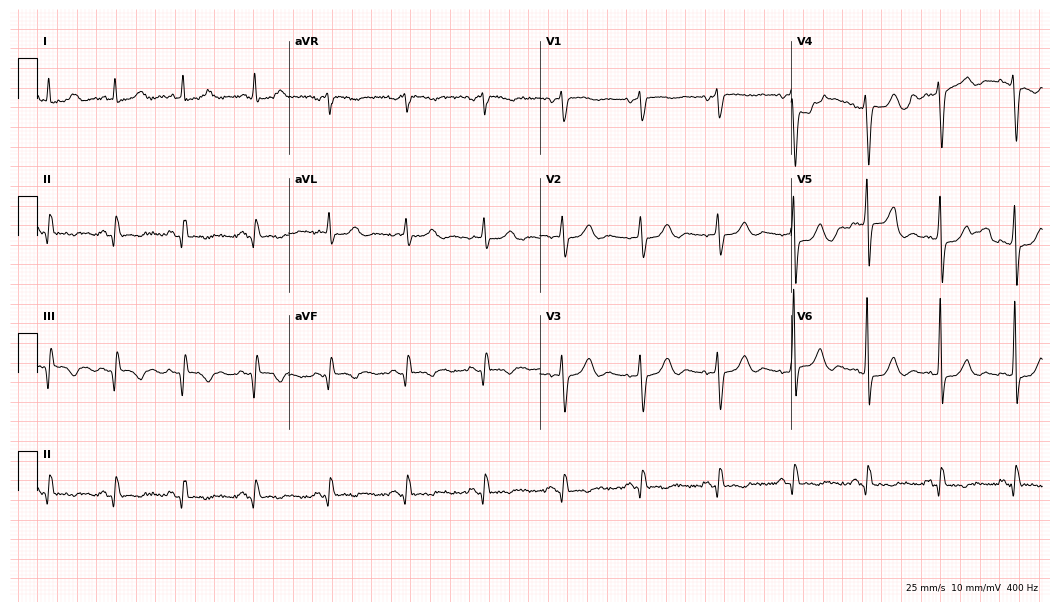
Resting 12-lead electrocardiogram. Patient: a 65-year-old male. None of these six findings is recorded: first-degree AV block, right bundle branch block, left bundle branch block, sinus bradycardia, atrial fibrillation, sinus tachycardia.